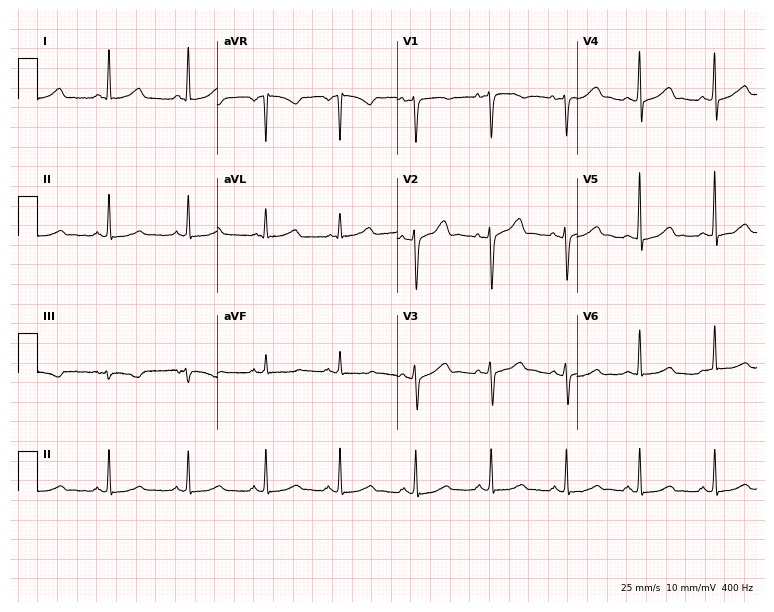
Standard 12-lead ECG recorded from a female, 41 years old. None of these six findings is recorded: first-degree AV block, right bundle branch block, left bundle branch block, sinus bradycardia, atrial fibrillation, sinus tachycardia. Findings outside these six are not listed.